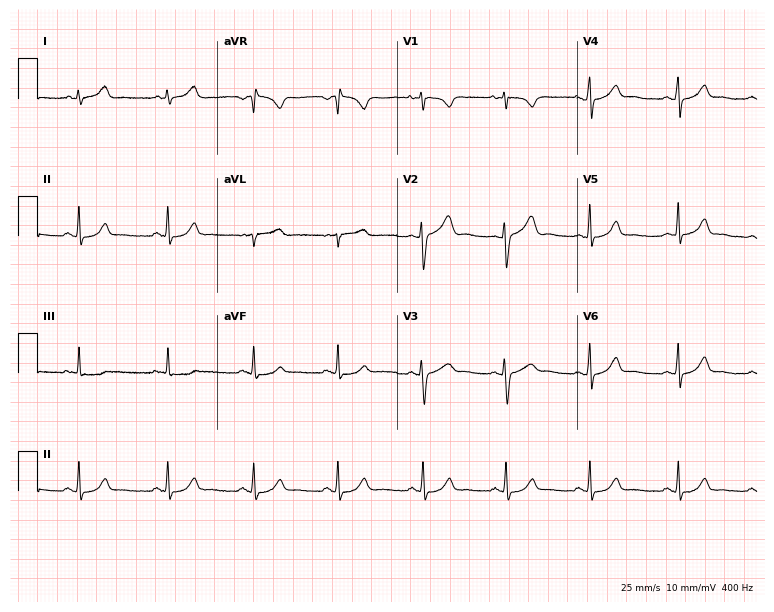
Electrocardiogram (7.3-second recording at 400 Hz), a woman, 27 years old. Of the six screened findings (first-degree AV block, right bundle branch block, left bundle branch block, sinus bradycardia, atrial fibrillation, sinus tachycardia), none is recorded. Other findings, if any, are not listed.